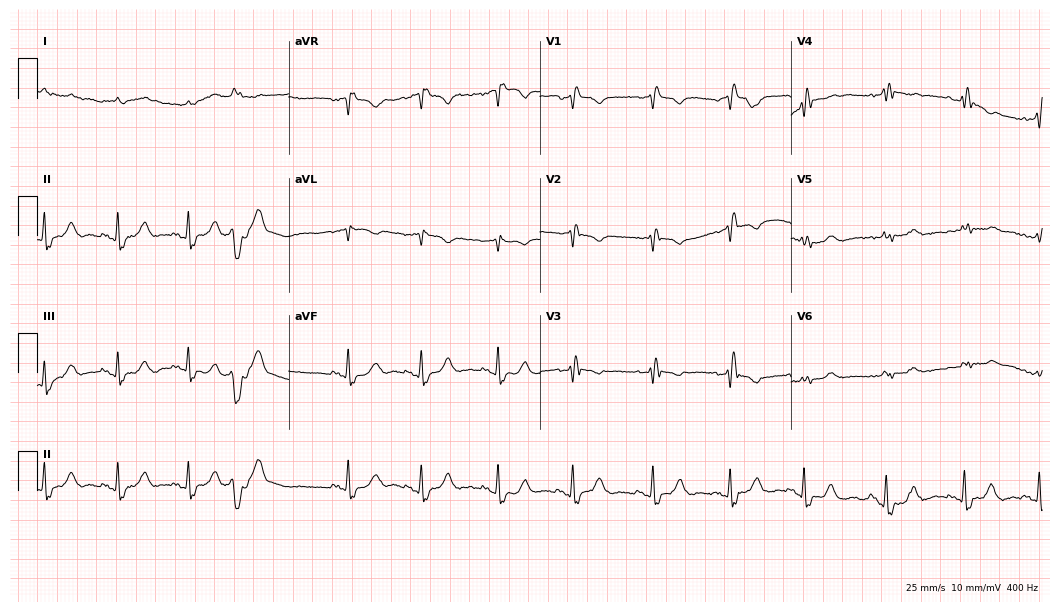
Resting 12-lead electrocardiogram (10.2-second recording at 400 Hz). Patient: a male, 80 years old. The tracing shows right bundle branch block.